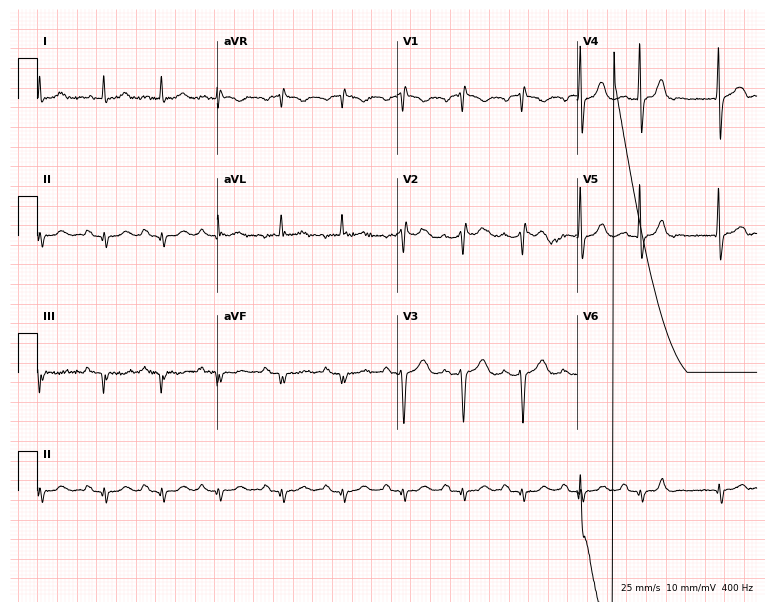
Resting 12-lead electrocardiogram (7.3-second recording at 400 Hz). Patient: a 78-year-old female. None of these six findings is recorded: first-degree AV block, right bundle branch block, left bundle branch block, sinus bradycardia, atrial fibrillation, sinus tachycardia.